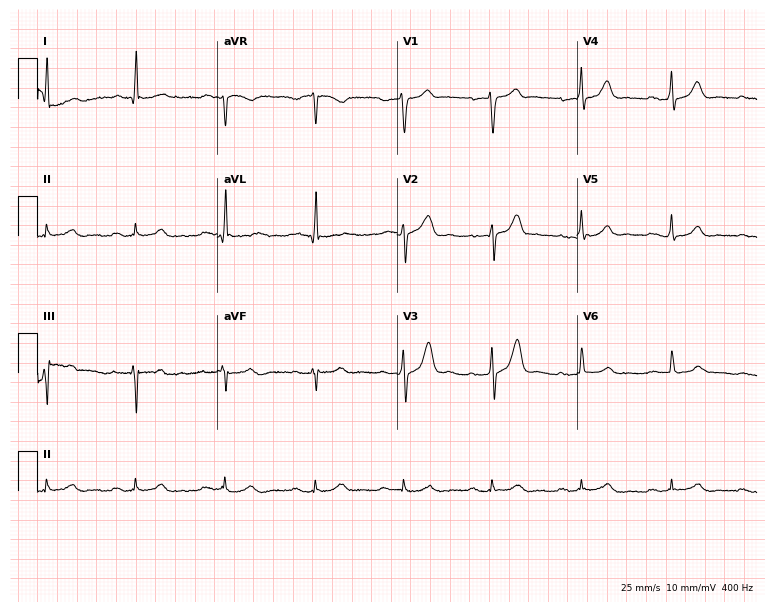
Resting 12-lead electrocardiogram (7.3-second recording at 400 Hz). Patient: a man, 68 years old. The tracing shows first-degree AV block.